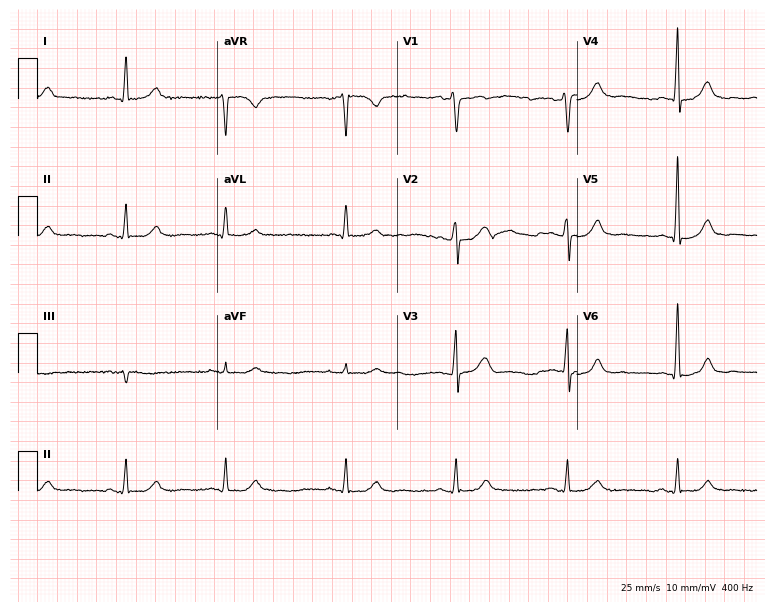
Standard 12-lead ECG recorded from a man, 78 years old. None of these six findings is recorded: first-degree AV block, right bundle branch block, left bundle branch block, sinus bradycardia, atrial fibrillation, sinus tachycardia. Findings outside these six are not listed.